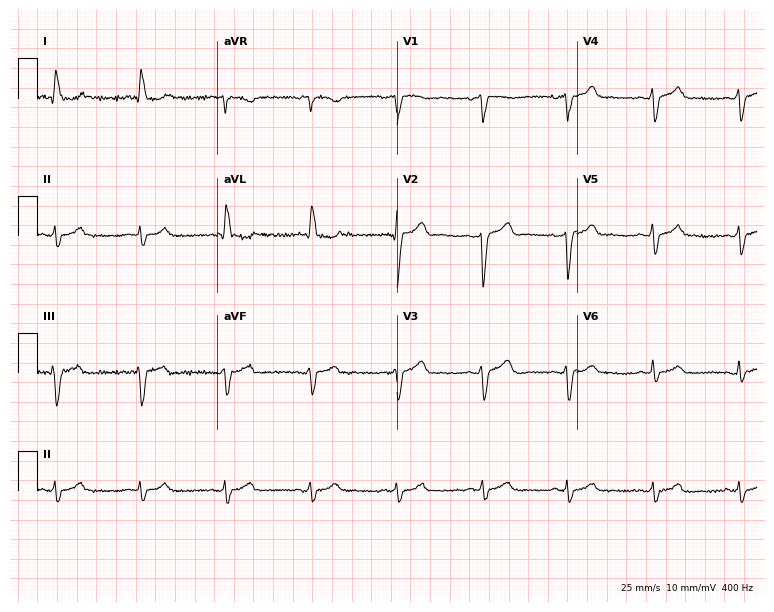
Electrocardiogram, a female, 38 years old. Of the six screened findings (first-degree AV block, right bundle branch block, left bundle branch block, sinus bradycardia, atrial fibrillation, sinus tachycardia), none is recorded.